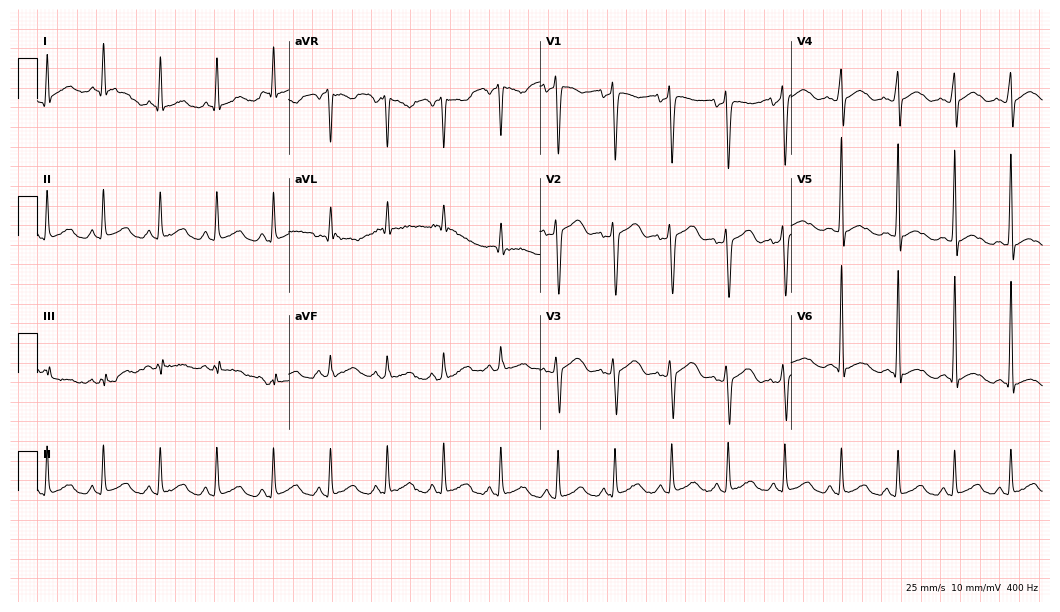
Standard 12-lead ECG recorded from a 44-year-old female (10.2-second recording at 400 Hz). The tracing shows sinus tachycardia (a sinus rate of 100 beats per minute or more).